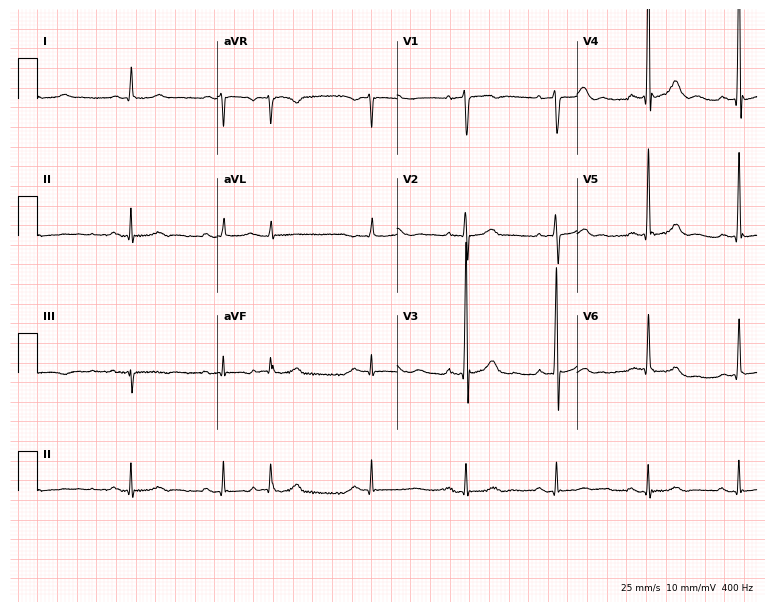
ECG (7.3-second recording at 400 Hz) — a man, 77 years old. Screened for six findings — first-degree AV block, right bundle branch block (RBBB), left bundle branch block (LBBB), sinus bradycardia, atrial fibrillation (AF), sinus tachycardia — none is recorded.